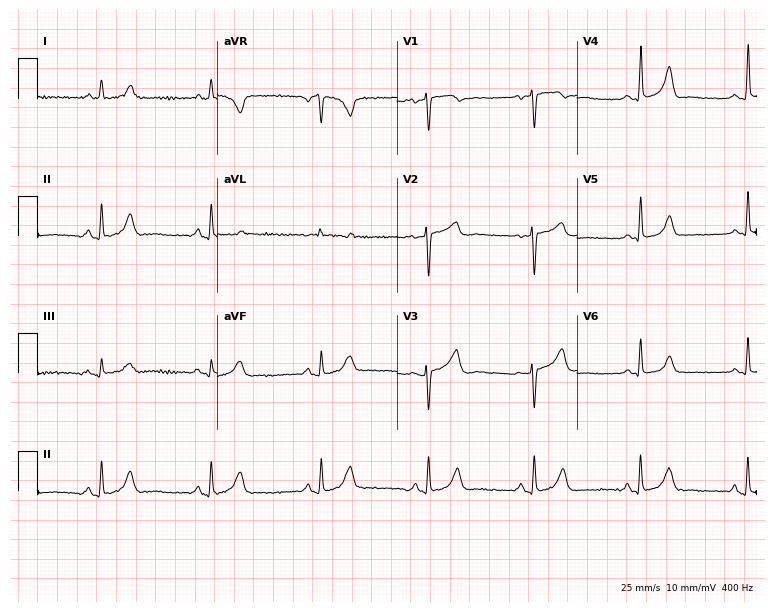
Resting 12-lead electrocardiogram. Patient: a 59-year-old woman. None of these six findings is recorded: first-degree AV block, right bundle branch block, left bundle branch block, sinus bradycardia, atrial fibrillation, sinus tachycardia. Other findings, if any, are not listed.